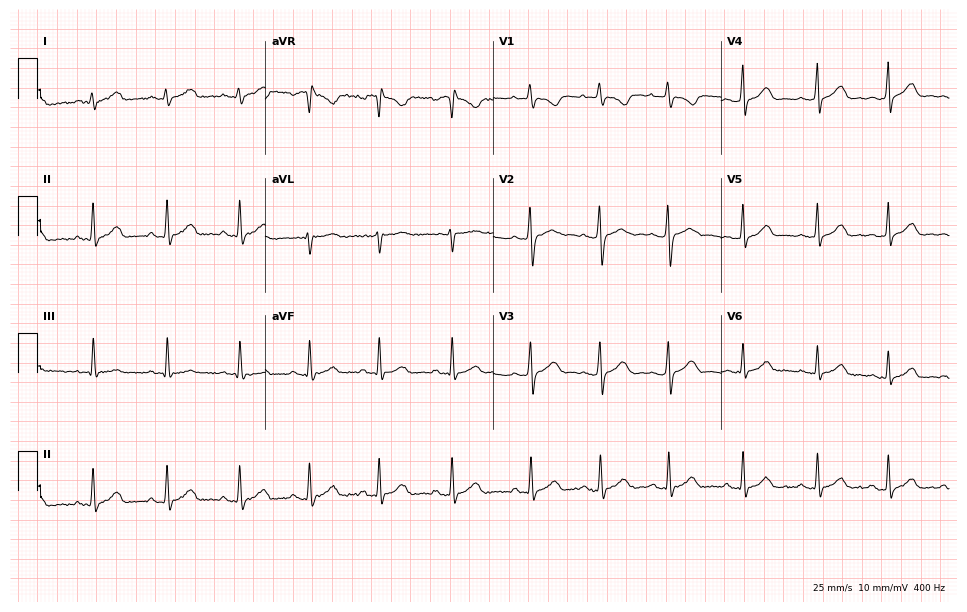
12-lead ECG from a woman, 20 years old. Labelled as a normal ECG.